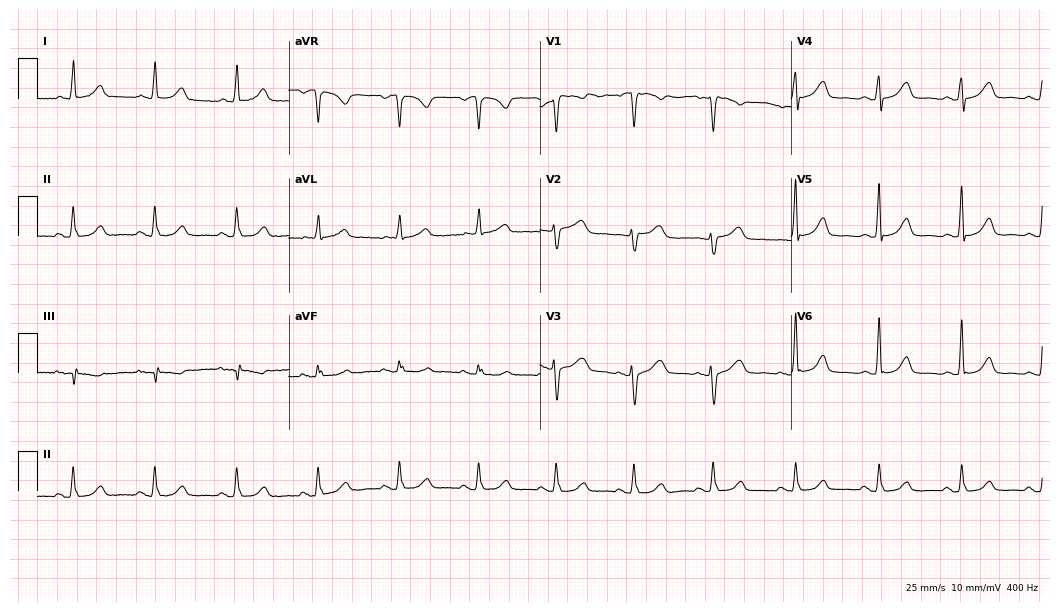
12-lead ECG from a woman, 68 years old. Labelled as a normal ECG.